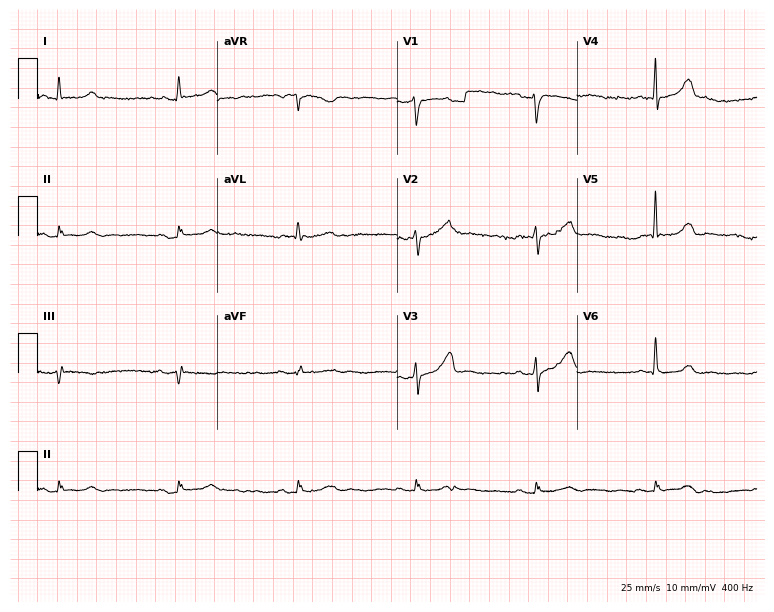
12-lead ECG (7.3-second recording at 400 Hz) from an 80-year-old male patient. Labelled as a normal ECG.